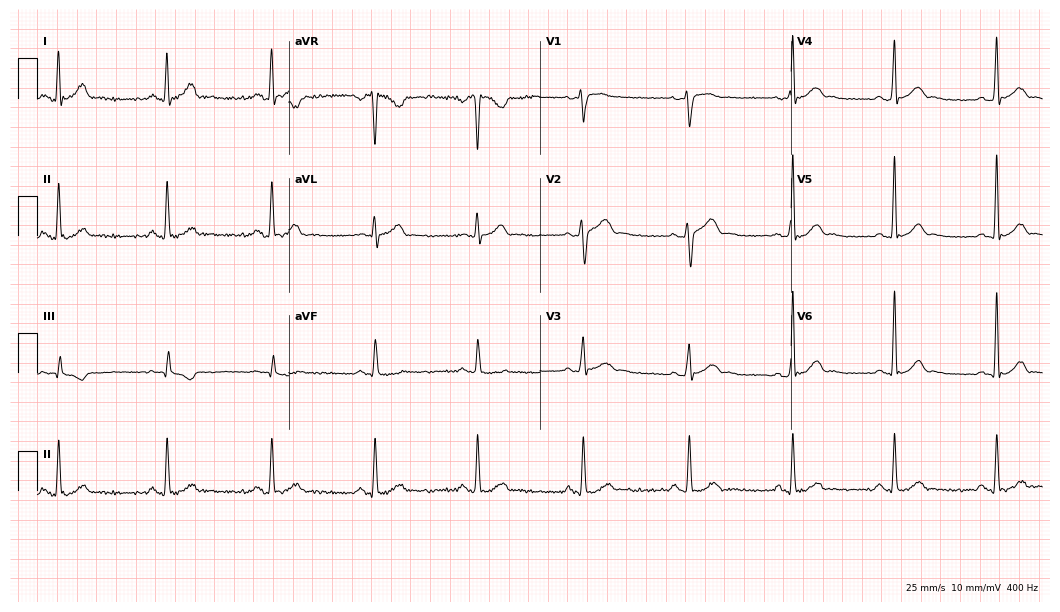
Electrocardiogram (10.2-second recording at 400 Hz), a 24-year-old male patient. Of the six screened findings (first-degree AV block, right bundle branch block, left bundle branch block, sinus bradycardia, atrial fibrillation, sinus tachycardia), none is recorded.